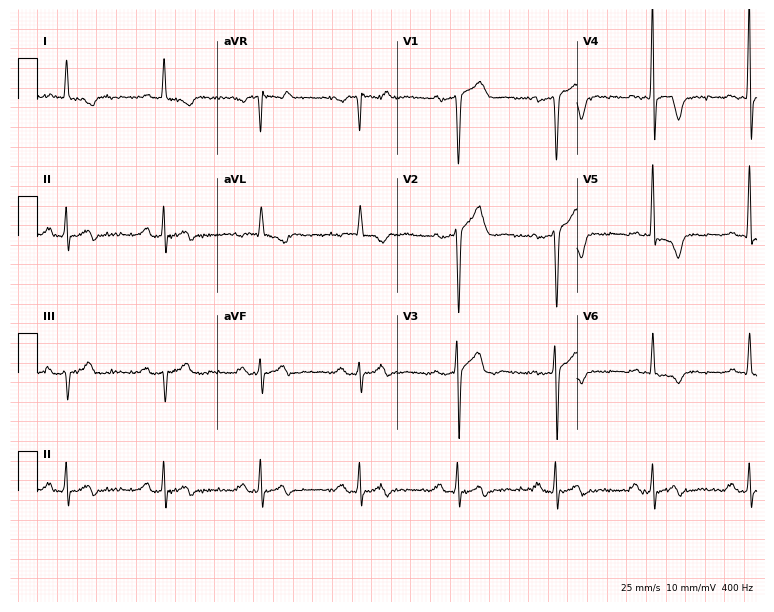
Resting 12-lead electrocardiogram (7.3-second recording at 400 Hz). Patient: a 70-year-old man. None of these six findings is recorded: first-degree AV block, right bundle branch block, left bundle branch block, sinus bradycardia, atrial fibrillation, sinus tachycardia.